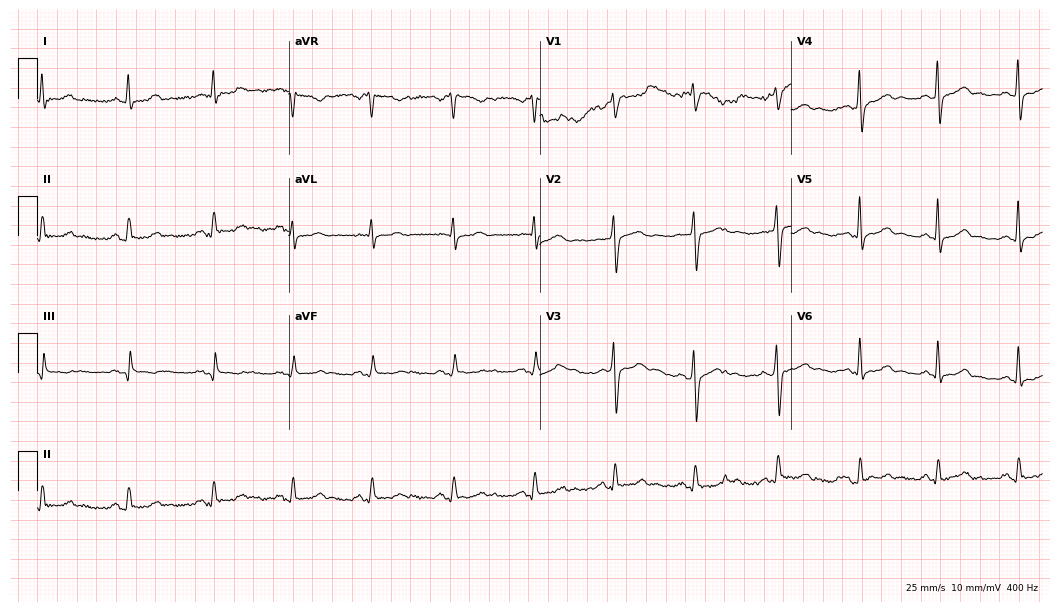
Electrocardiogram, a 31-year-old male patient. Overall reading on record: normal ECG.